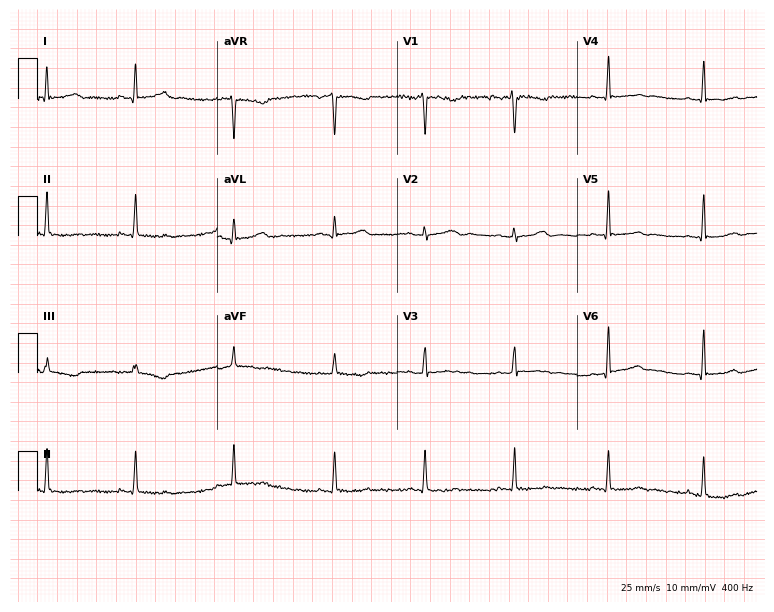
ECG — a female patient, 25 years old. Screened for six findings — first-degree AV block, right bundle branch block (RBBB), left bundle branch block (LBBB), sinus bradycardia, atrial fibrillation (AF), sinus tachycardia — none is recorded.